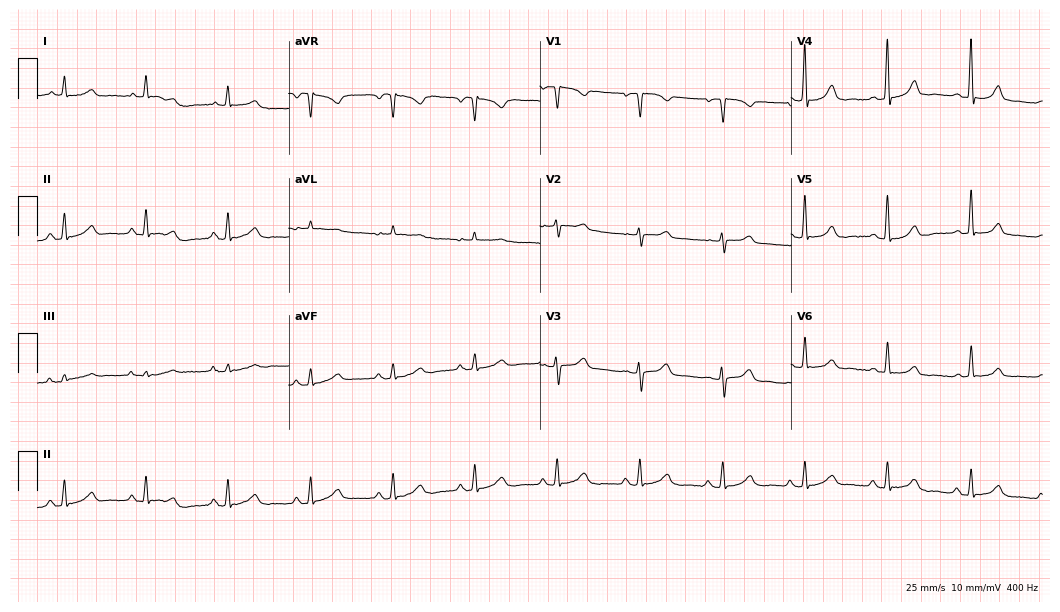
Electrocardiogram (10.2-second recording at 400 Hz), a 57-year-old woman. Overall reading on record: normal ECG.